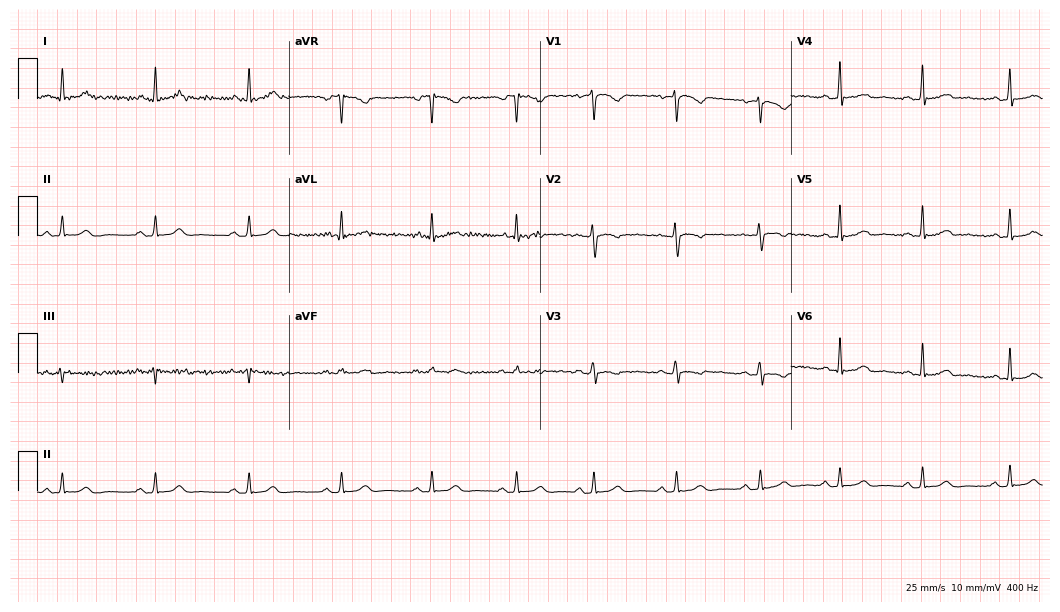
12-lead ECG from a female, 41 years old. No first-degree AV block, right bundle branch block (RBBB), left bundle branch block (LBBB), sinus bradycardia, atrial fibrillation (AF) or sinus tachycardia recorded for this tracing.